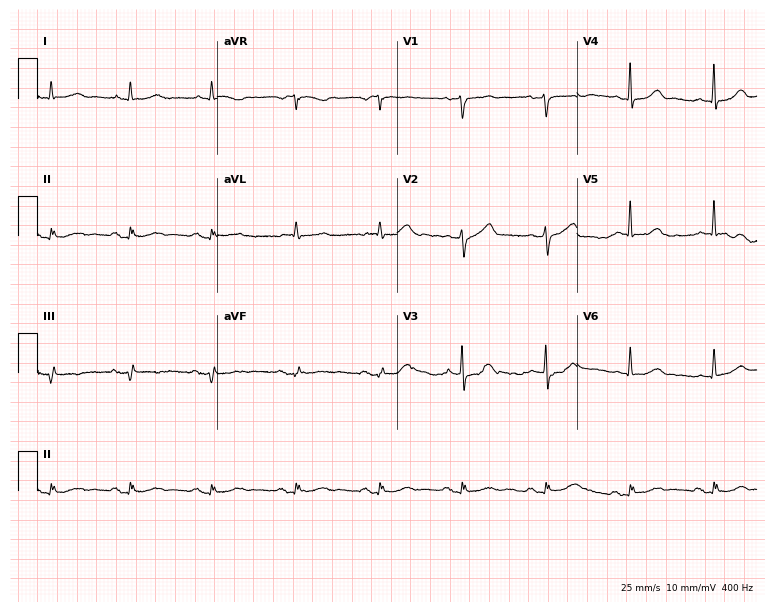
ECG (7.3-second recording at 400 Hz) — a man, 80 years old. Screened for six findings — first-degree AV block, right bundle branch block, left bundle branch block, sinus bradycardia, atrial fibrillation, sinus tachycardia — none is recorded.